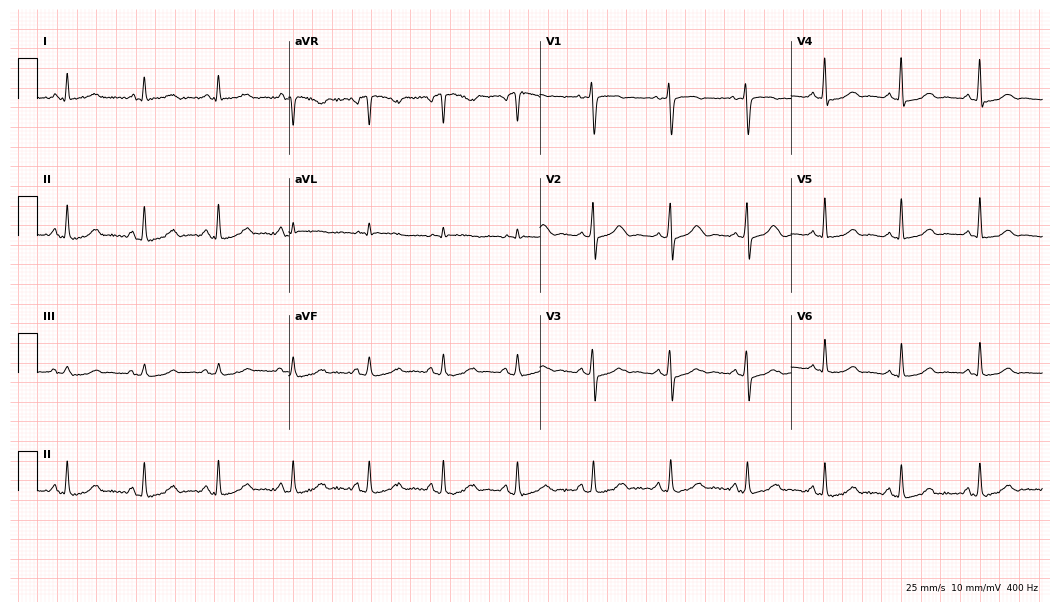
12-lead ECG from a woman, 52 years old (10.2-second recording at 400 Hz). No first-degree AV block, right bundle branch block, left bundle branch block, sinus bradycardia, atrial fibrillation or sinus tachycardia recorded for this tracing.